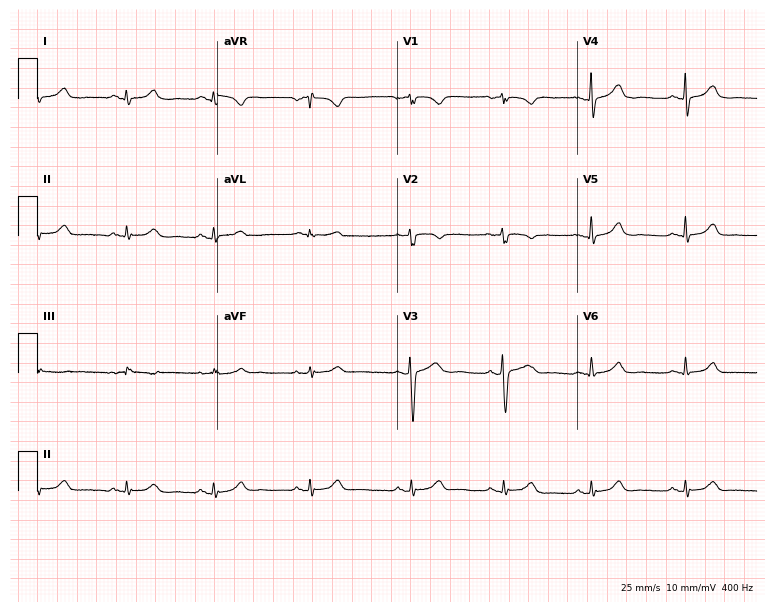
12-lead ECG from a 38-year-old woman (7.3-second recording at 400 Hz). No first-degree AV block, right bundle branch block (RBBB), left bundle branch block (LBBB), sinus bradycardia, atrial fibrillation (AF) or sinus tachycardia recorded for this tracing.